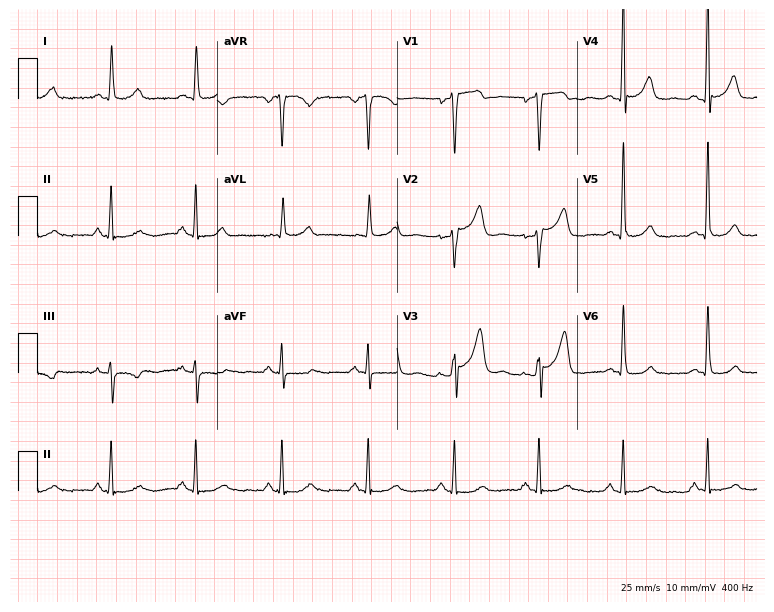
Electrocardiogram, a 55-year-old male. Overall reading on record: normal ECG.